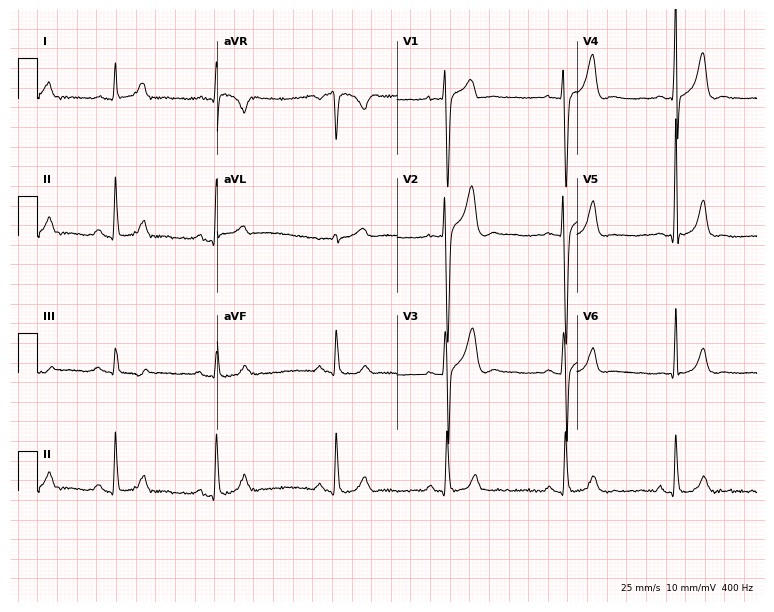
Electrocardiogram (7.3-second recording at 400 Hz), a 33-year-old man. Overall reading on record: normal ECG.